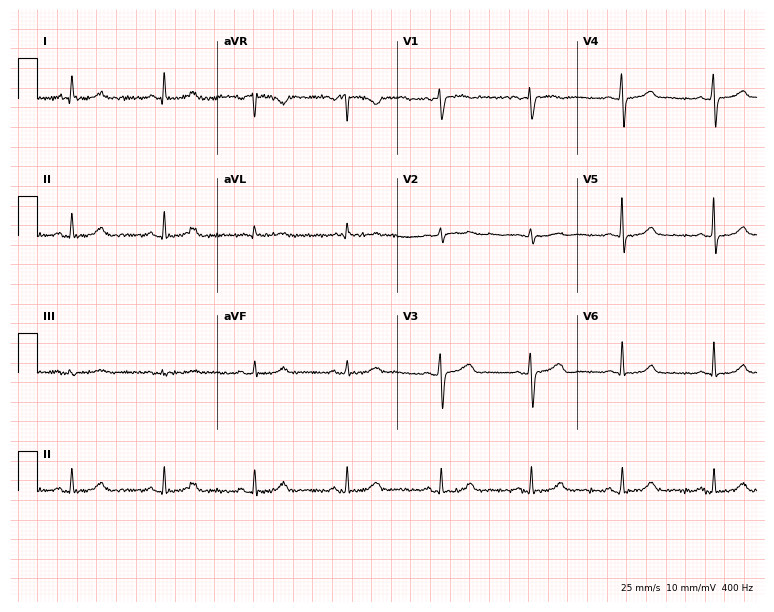
Standard 12-lead ECG recorded from a 40-year-old female patient. Read as a normal ECG.